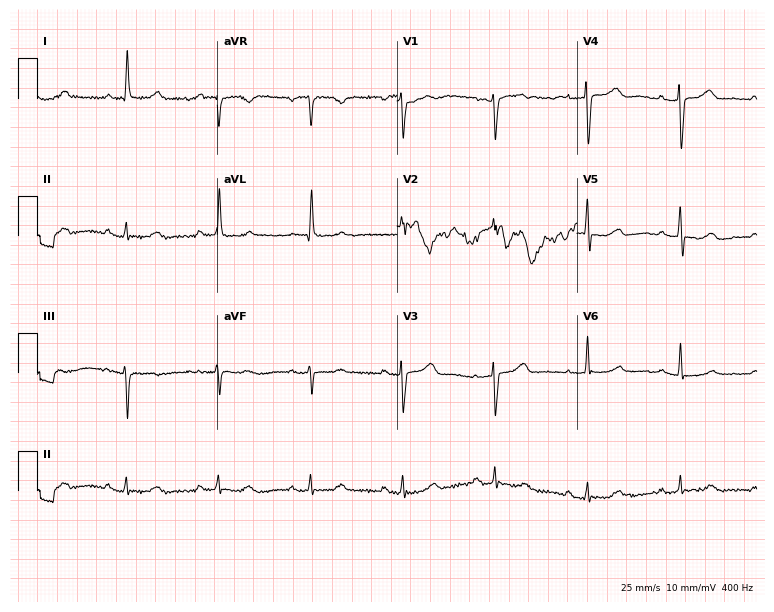
12-lead ECG from an 80-year-old female. No first-degree AV block, right bundle branch block, left bundle branch block, sinus bradycardia, atrial fibrillation or sinus tachycardia recorded for this tracing. Other findings, if any, are not listed.